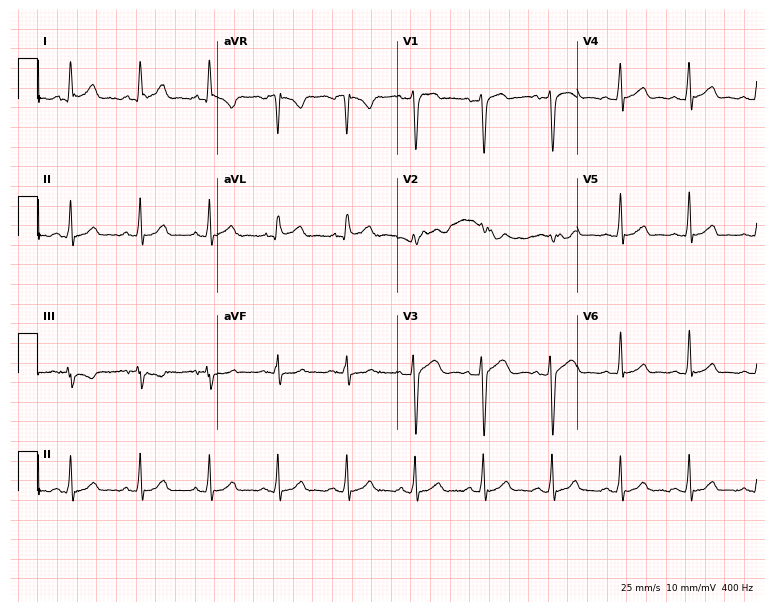
Resting 12-lead electrocardiogram (7.3-second recording at 400 Hz). Patient: a male, 28 years old. Read as a normal ECG.